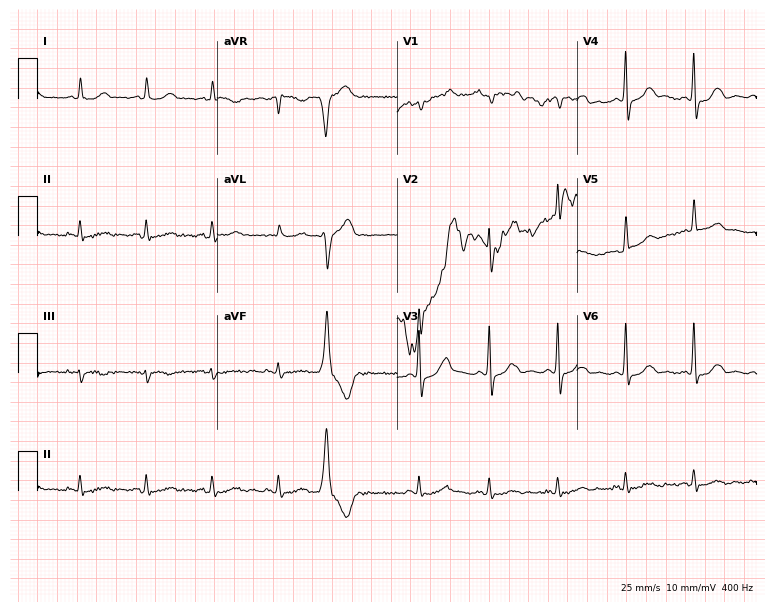
Resting 12-lead electrocardiogram. Patient: a female, 77 years old. None of these six findings is recorded: first-degree AV block, right bundle branch block, left bundle branch block, sinus bradycardia, atrial fibrillation, sinus tachycardia.